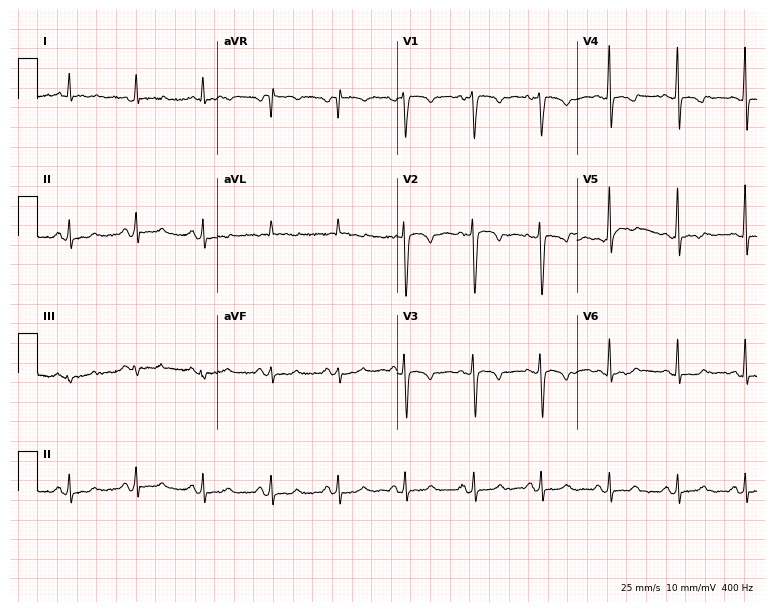
Standard 12-lead ECG recorded from a female patient, 47 years old. None of these six findings is recorded: first-degree AV block, right bundle branch block, left bundle branch block, sinus bradycardia, atrial fibrillation, sinus tachycardia.